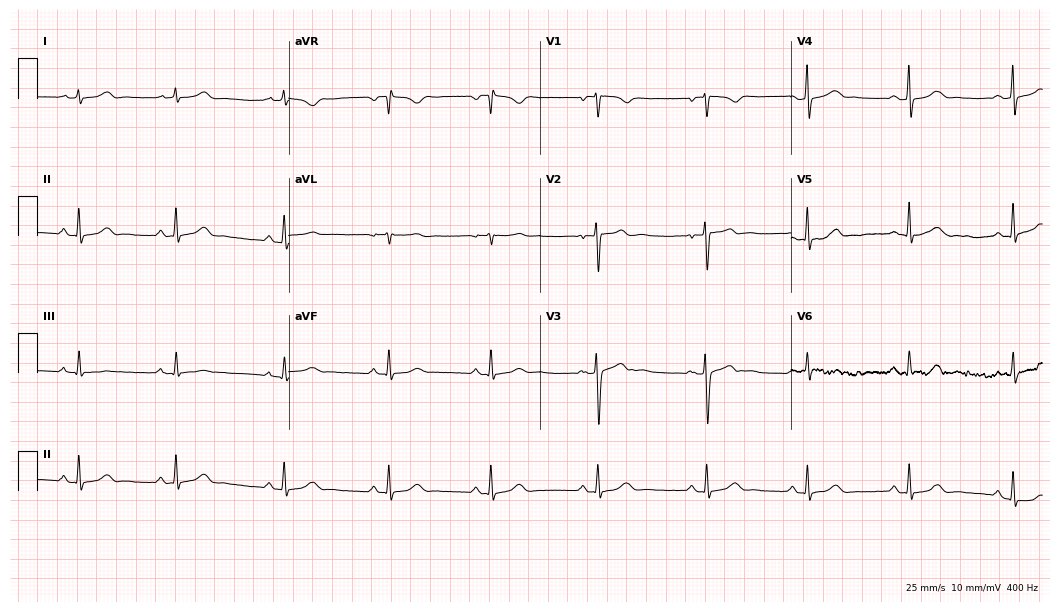
12-lead ECG (10.2-second recording at 400 Hz) from a 26-year-old woman. Screened for six findings — first-degree AV block, right bundle branch block (RBBB), left bundle branch block (LBBB), sinus bradycardia, atrial fibrillation (AF), sinus tachycardia — none is recorded.